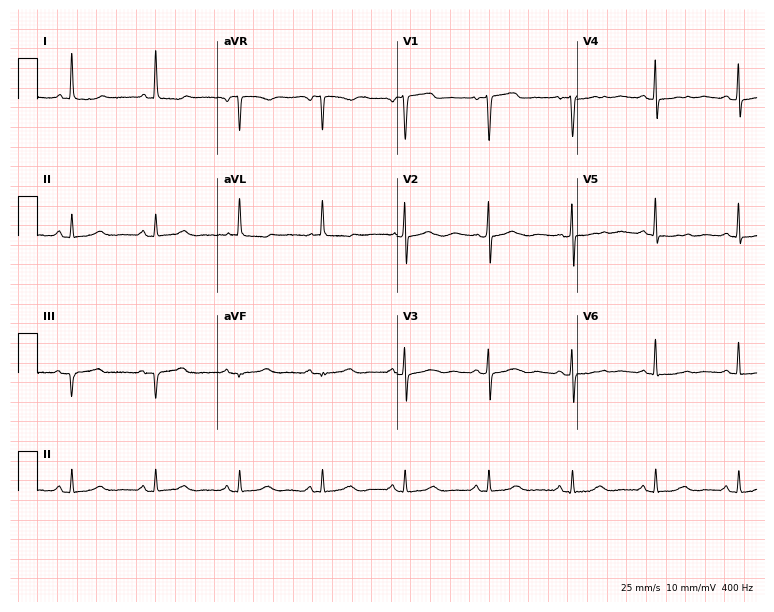
ECG (7.3-second recording at 400 Hz) — a woman, 66 years old. Labelled as a normal ECG.